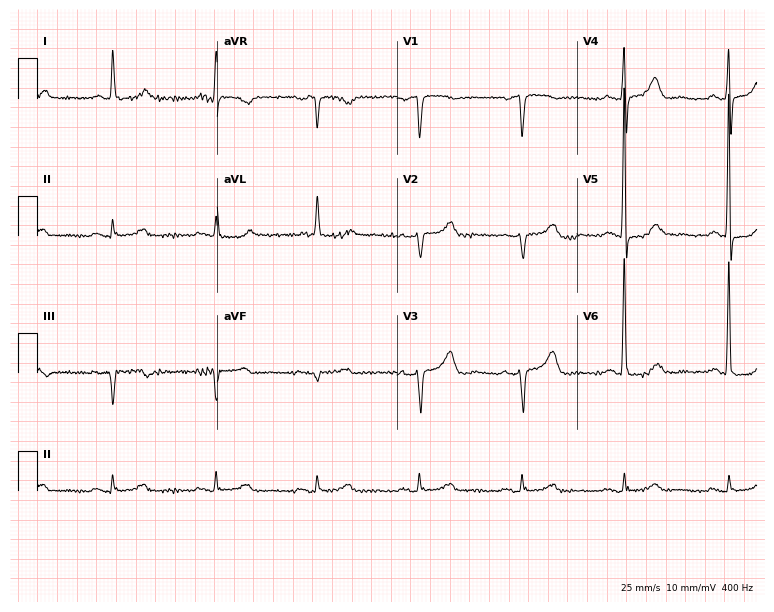
12-lead ECG (7.3-second recording at 400 Hz) from a woman, 80 years old. Labelled as a normal ECG.